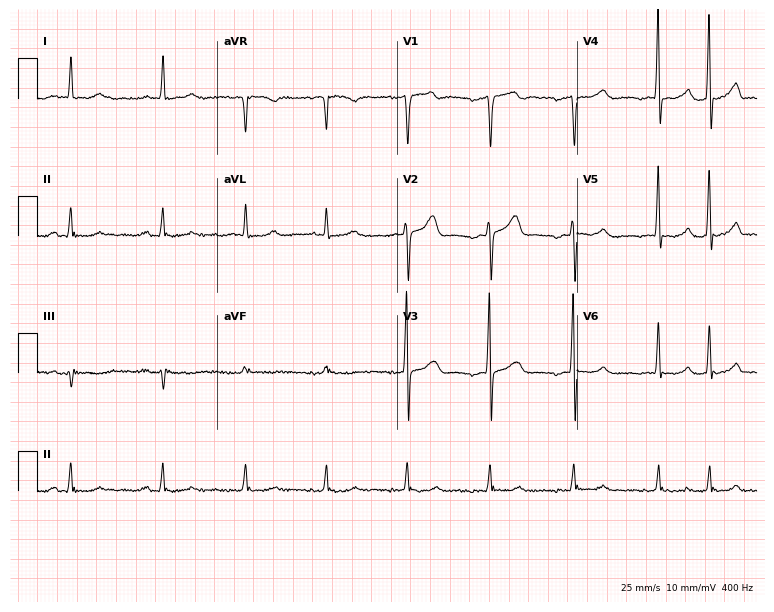
Resting 12-lead electrocardiogram (7.3-second recording at 400 Hz). Patient: a 64-year-old male. None of these six findings is recorded: first-degree AV block, right bundle branch block (RBBB), left bundle branch block (LBBB), sinus bradycardia, atrial fibrillation (AF), sinus tachycardia.